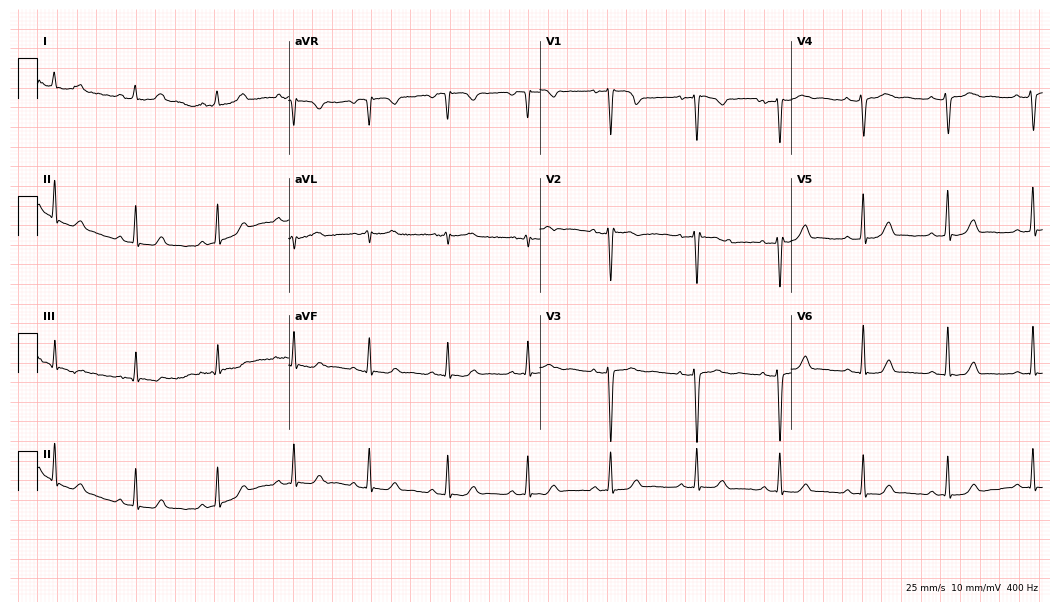
12-lead ECG from a 23-year-old female patient. No first-degree AV block, right bundle branch block, left bundle branch block, sinus bradycardia, atrial fibrillation or sinus tachycardia recorded for this tracing. Only these six findings were labelled.